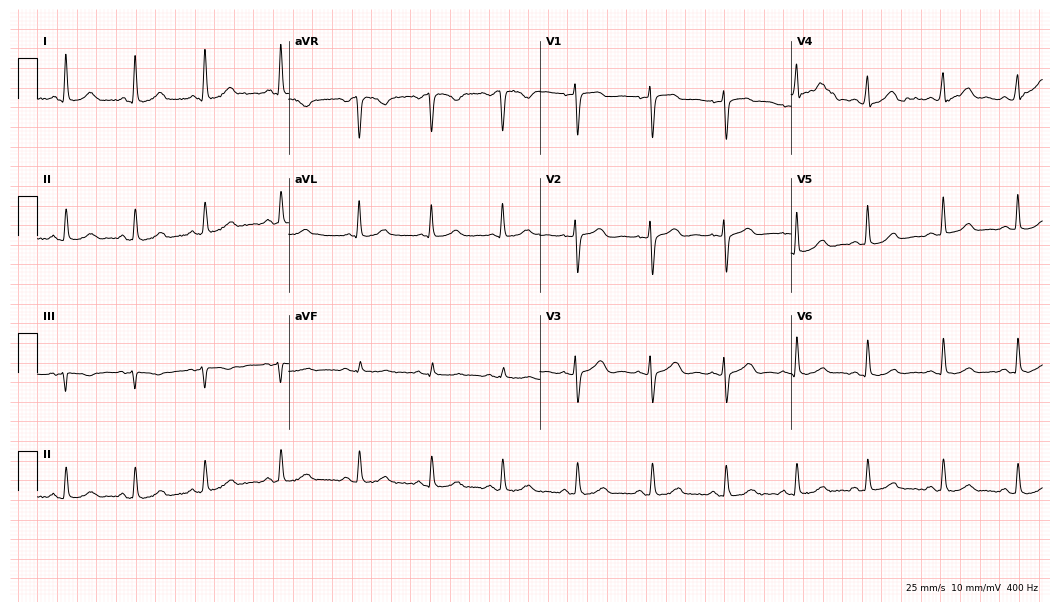
12-lead ECG (10.2-second recording at 400 Hz) from a female, 42 years old. Labelled as a normal ECG.